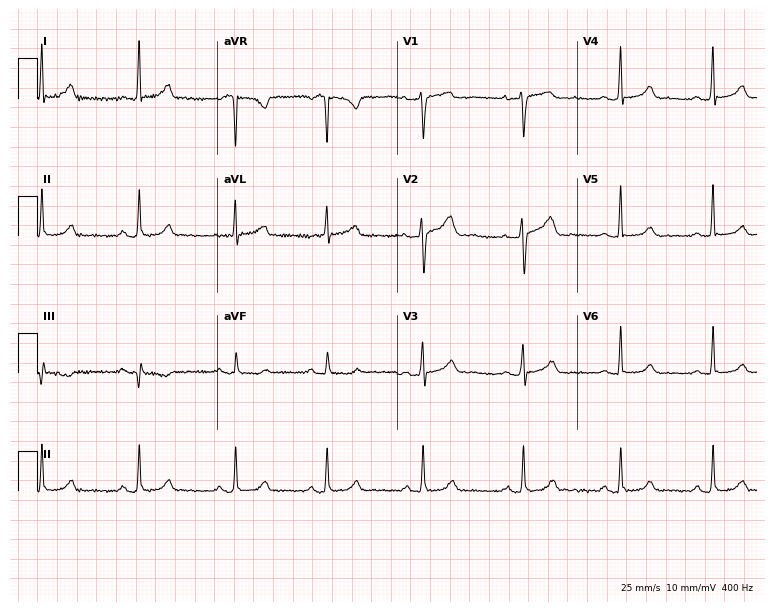
Resting 12-lead electrocardiogram (7.3-second recording at 400 Hz). Patient: a 46-year-old female. Read as a normal ECG.